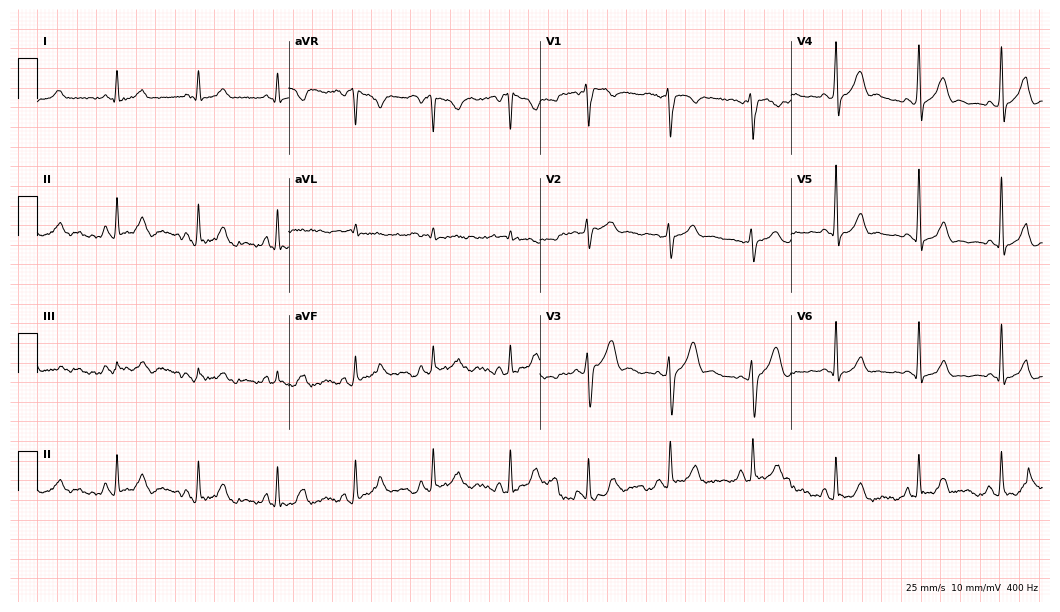
12-lead ECG (10.2-second recording at 400 Hz) from a 52-year-old male. Labelled as a normal ECG.